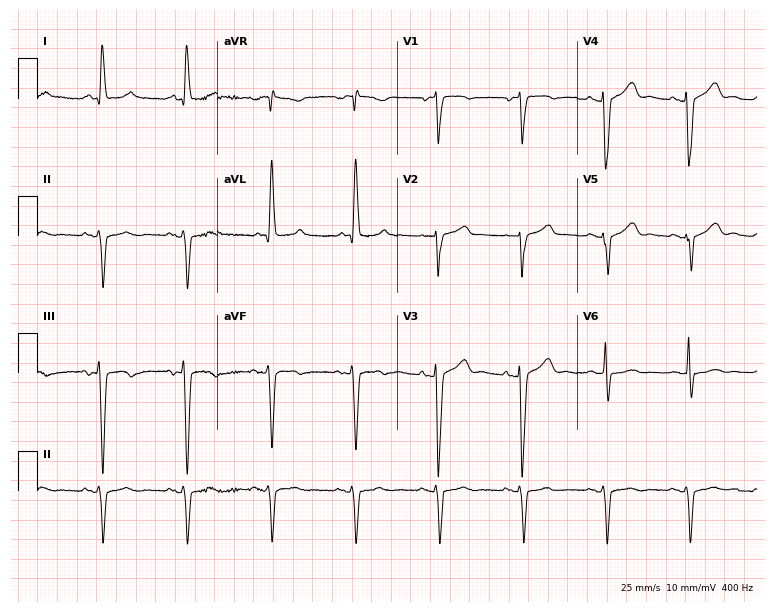
Resting 12-lead electrocardiogram (7.3-second recording at 400 Hz). Patient: a man, 75 years old. None of these six findings is recorded: first-degree AV block, right bundle branch block (RBBB), left bundle branch block (LBBB), sinus bradycardia, atrial fibrillation (AF), sinus tachycardia. Findings outside these six are not listed.